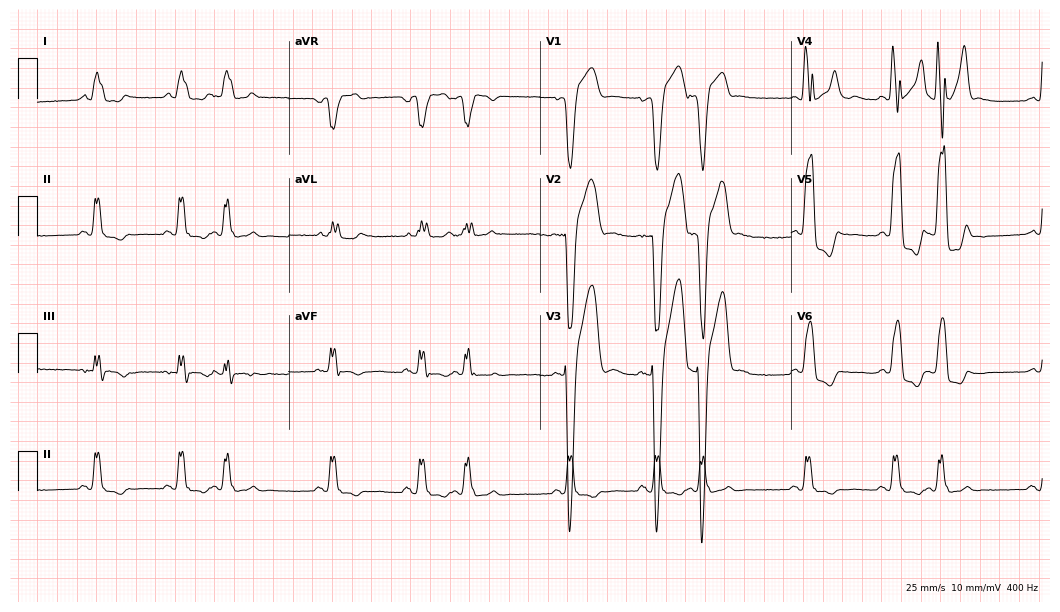
ECG — a 66-year-old man. Findings include left bundle branch block.